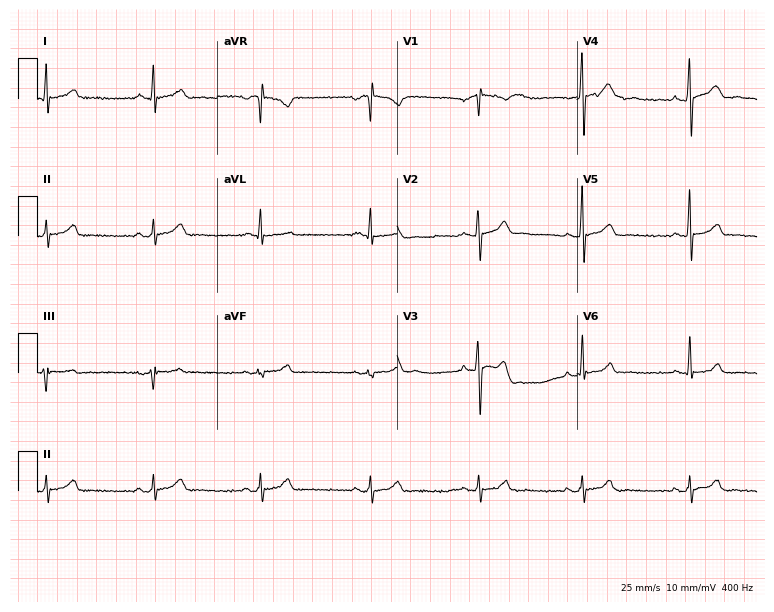
12-lead ECG from a male patient, 45 years old. Labelled as a normal ECG.